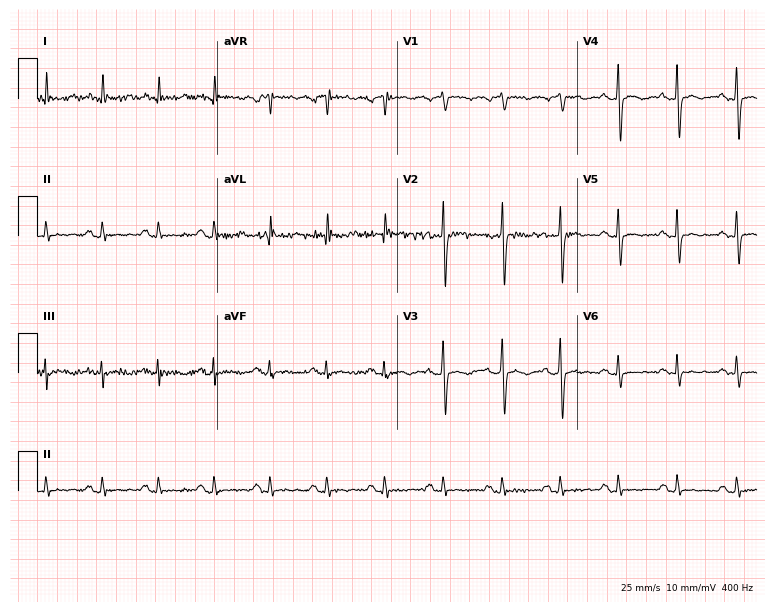
12-lead ECG from a male, 43 years old. Screened for six findings — first-degree AV block, right bundle branch block, left bundle branch block, sinus bradycardia, atrial fibrillation, sinus tachycardia — none is recorded. Findings outside these six are not listed.